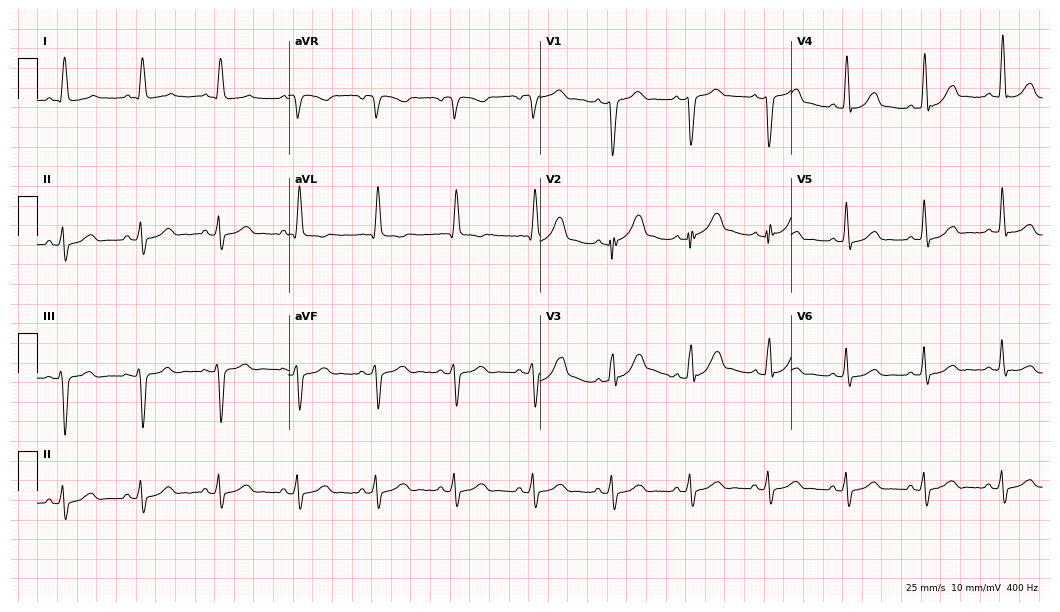
12-lead ECG from a 75-year-old male patient (10.2-second recording at 400 Hz). No first-degree AV block, right bundle branch block, left bundle branch block, sinus bradycardia, atrial fibrillation or sinus tachycardia recorded for this tracing. Only these six findings were labelled.